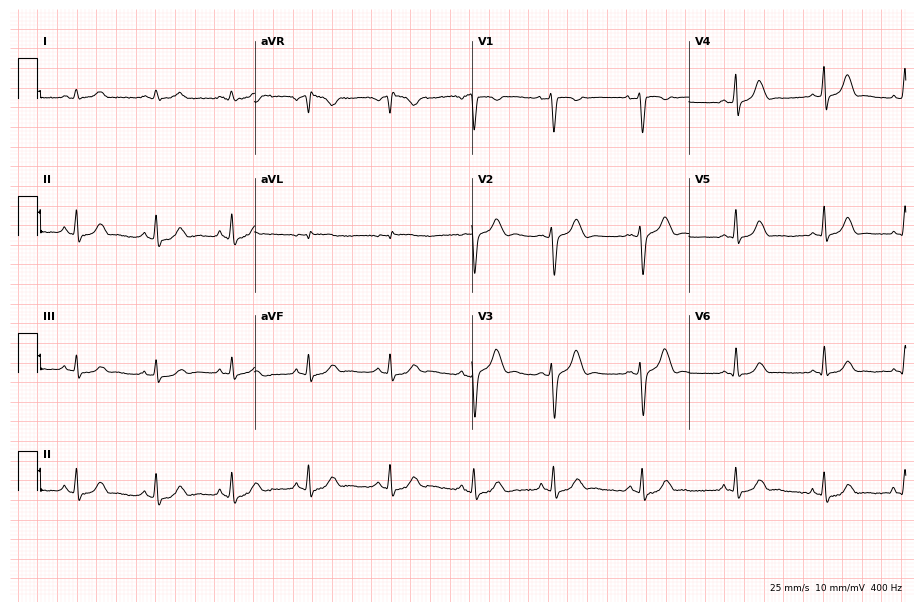
Standard 12-lead ECG recorded from a 39-year-old female patient. Read as a normal ECG.